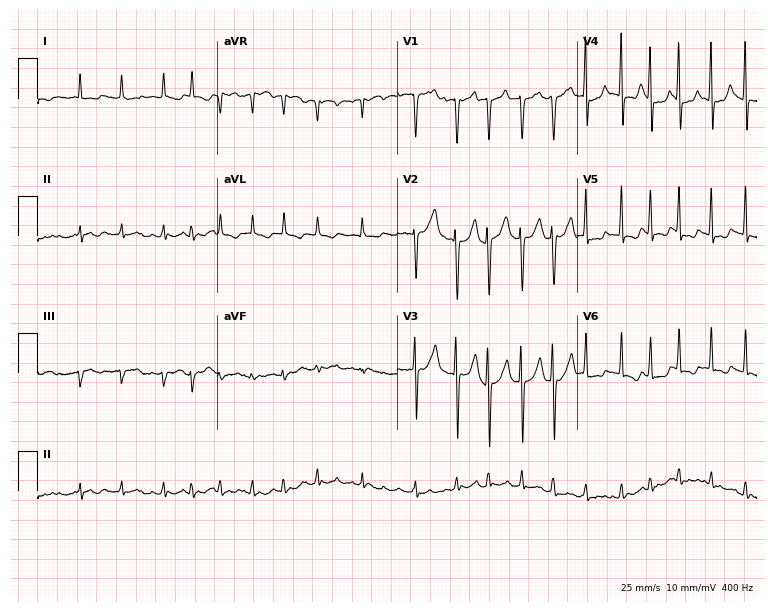
12-lead ECG from a man, 76 years old. Findings include atrial fibrillation.